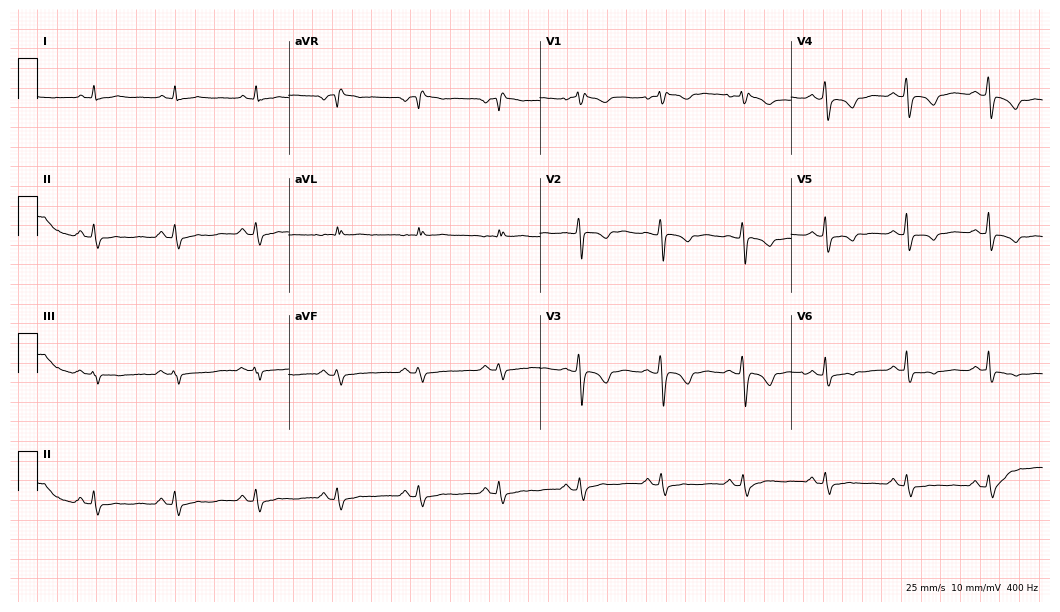
12-lead ECG from a female patient, 67 years old (10.2-second recording at 400 Hz). No first-degree AV block, right bundle branch block, left bundle branch block, sinus bradycardia, atrial fibrillation or sinus tachycardia recorded for this tracing.